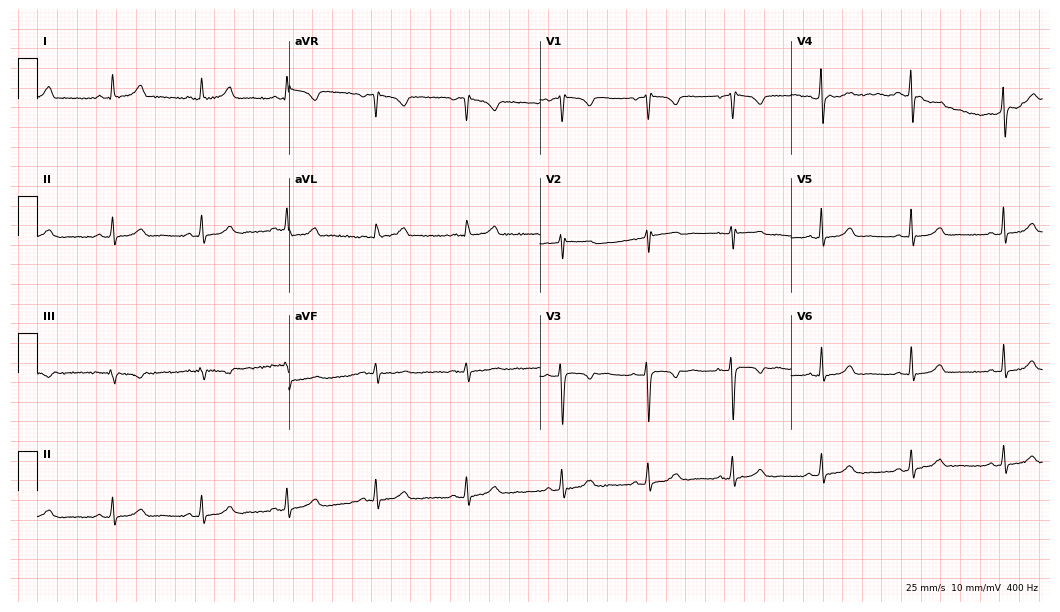
Resting 12-lead electrocardiogram. Patient: a female, 39 years old. Read as a normal ECG.